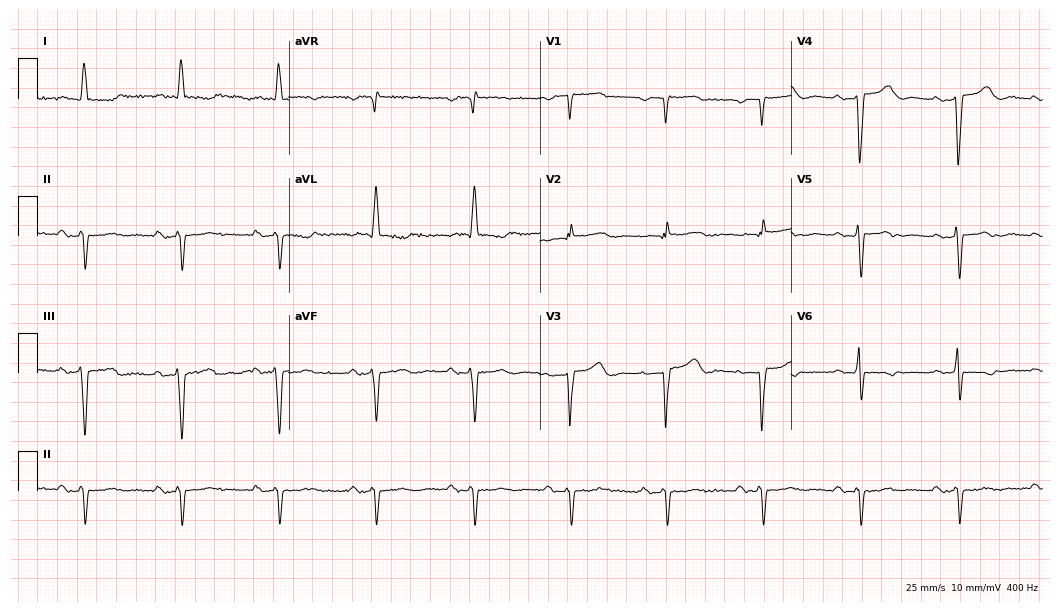
Electrocardiogram (10.2-second recording at 400 Hz), a woman, 66 years old. Of the six screened findings (first-degree AV block, right bundle branch block, left bundle branch block, sinus bradycardia, atrial fibrillation, sinus tachycardia), none is recorded.